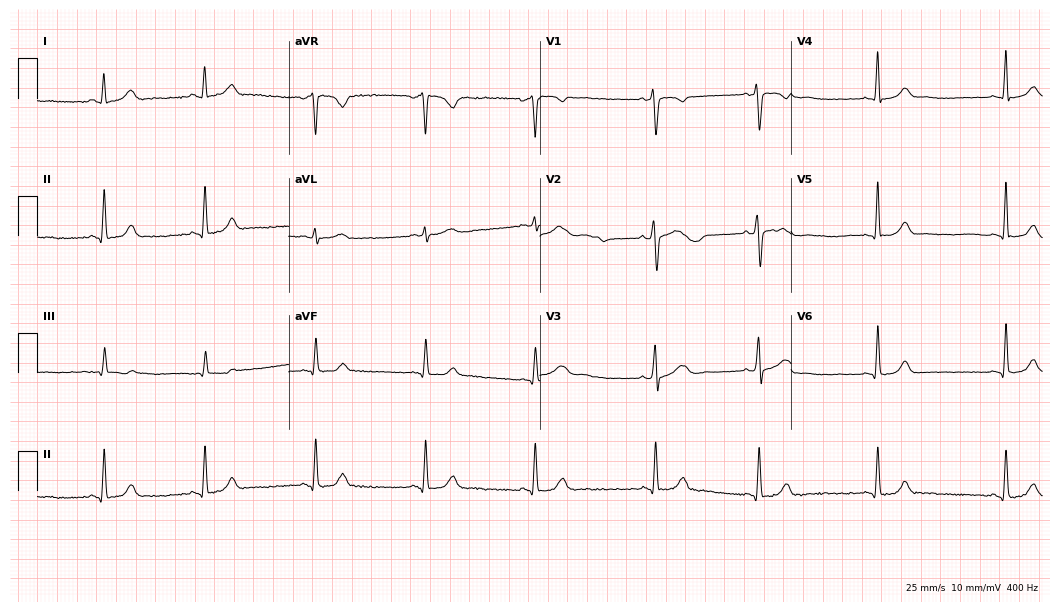
12-lead ECG (10.2-second recording at 400 Hz) from a female patient, 31 years old. Labelled as a normal ECG.